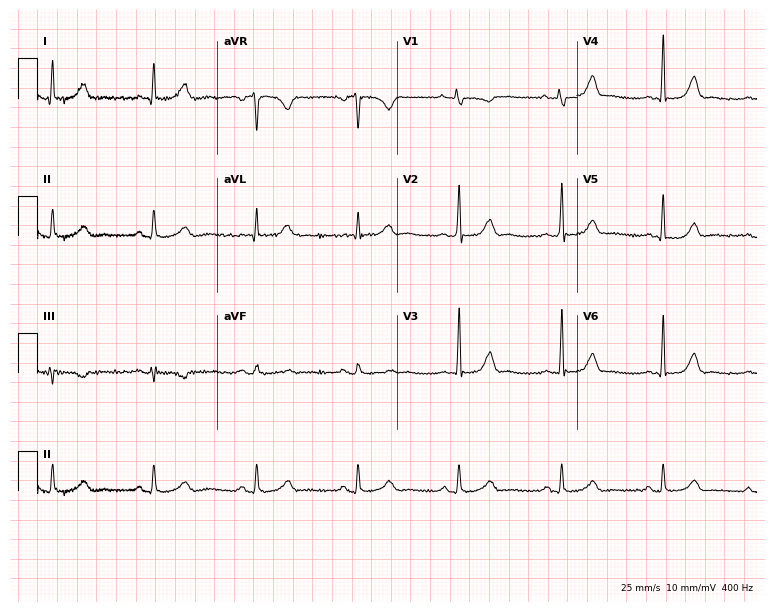
12-lead ECG from a female patient, 44 years old (7.3-second recording at 400 Hz). Recorded interpretation: within normal limits.